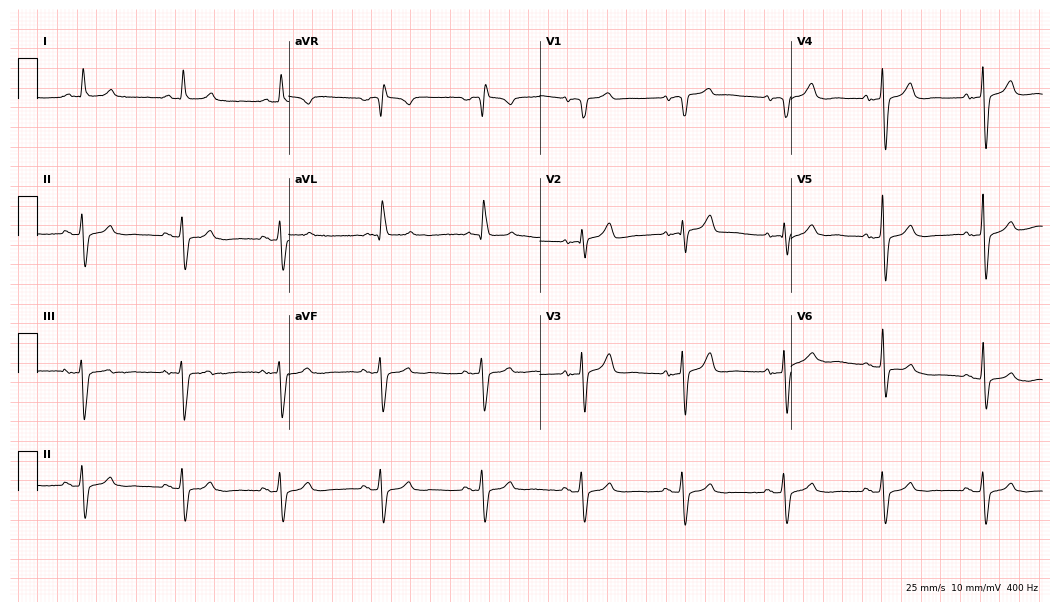
ECG — a 79-year-old male. Screened for six findings — first-degree AV block, right bundle branch block, left bundle branch block, sinus bradycardia, atrial fibrillation, sinus tachycardia — none is recorded. Findings outside these six are not listed.